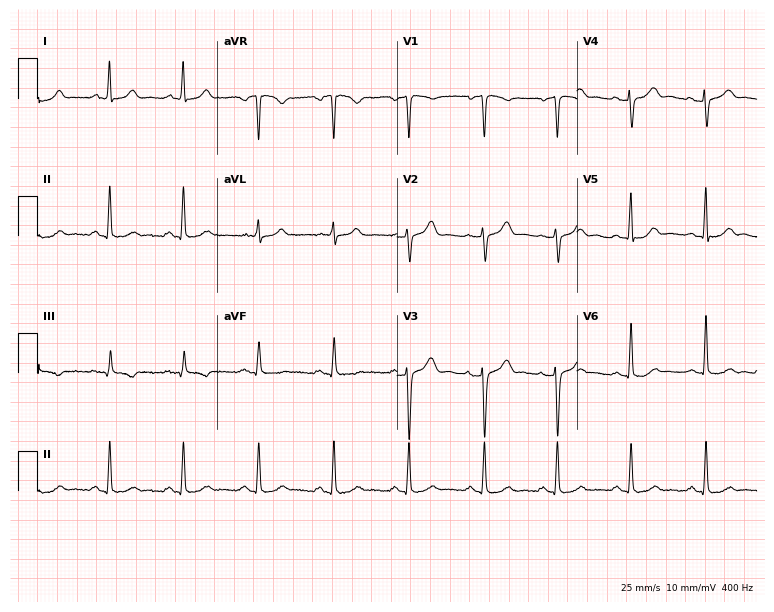
12-lead ECG from a 45-year-old man. Recorded interpretation: within normal limits.